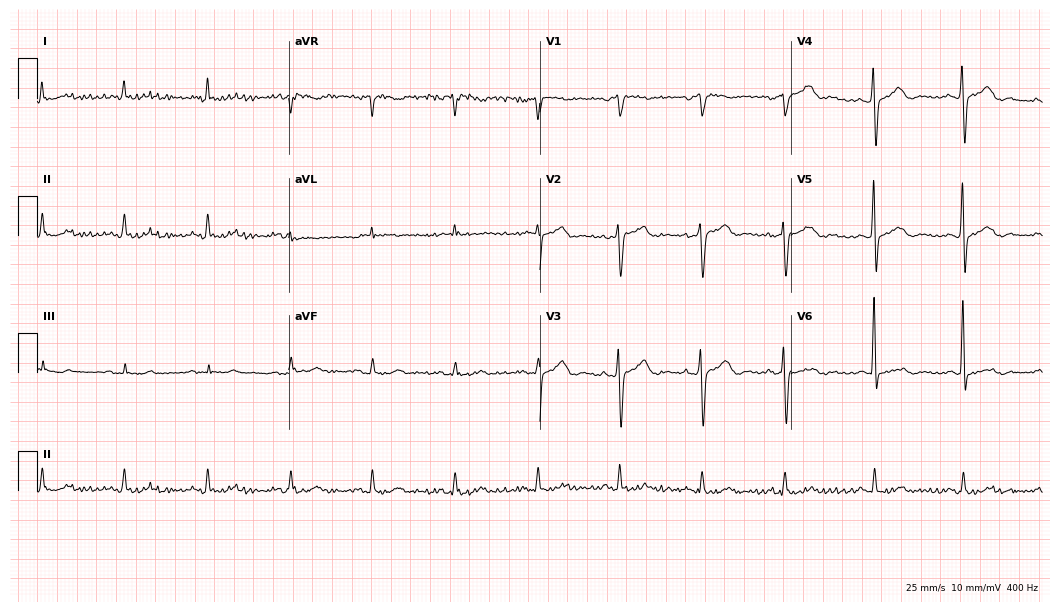
ECG (10.2-second recording at 400 Hz) — an 86-year-old man. Labelled as a normal ECG.